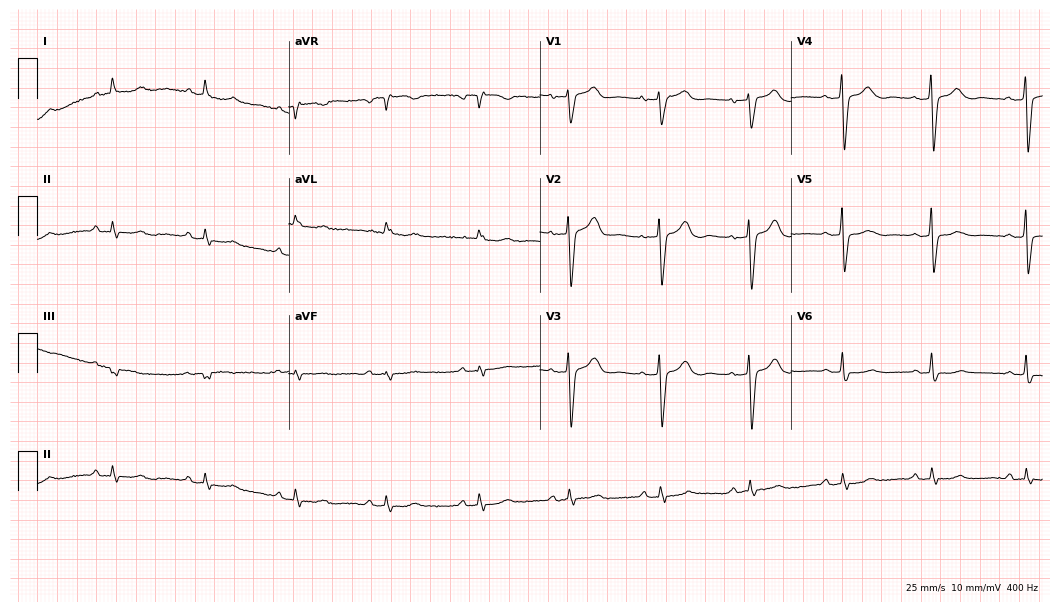
12-lead ECG from a 77-year-old woman. Labelled as a normal ECG.